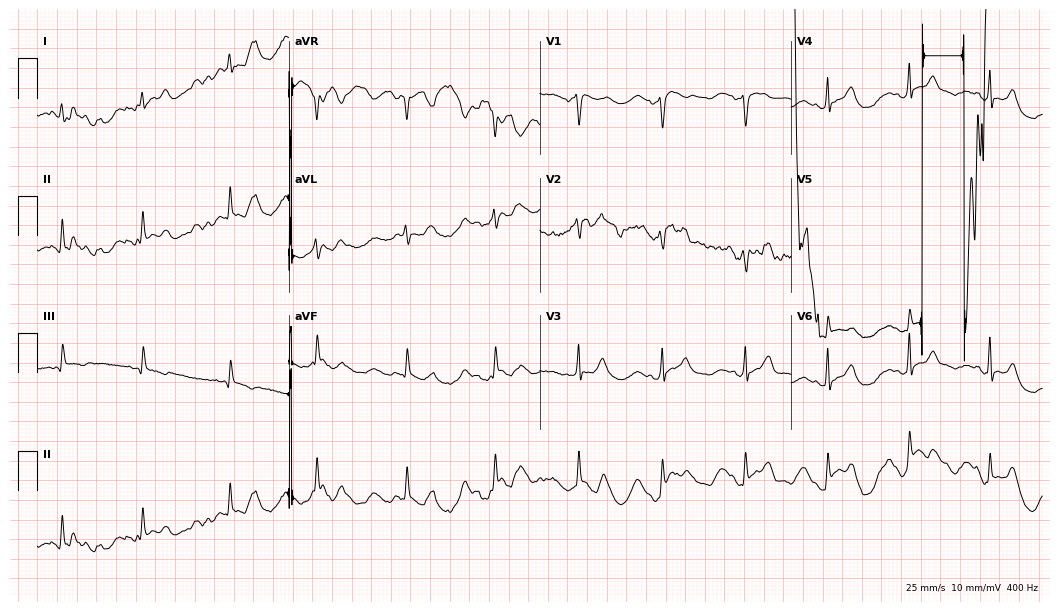
12-lead ECG from a 26-year-old female patient (10.2-second recording at 400 Hz). No first-degree AV block, right bundle branch block (RBBB), left bundle branch block (LBBB), sinus bradycardia, atrial fibrillation (AF) or sinus tachycardia recorded for this tracing.